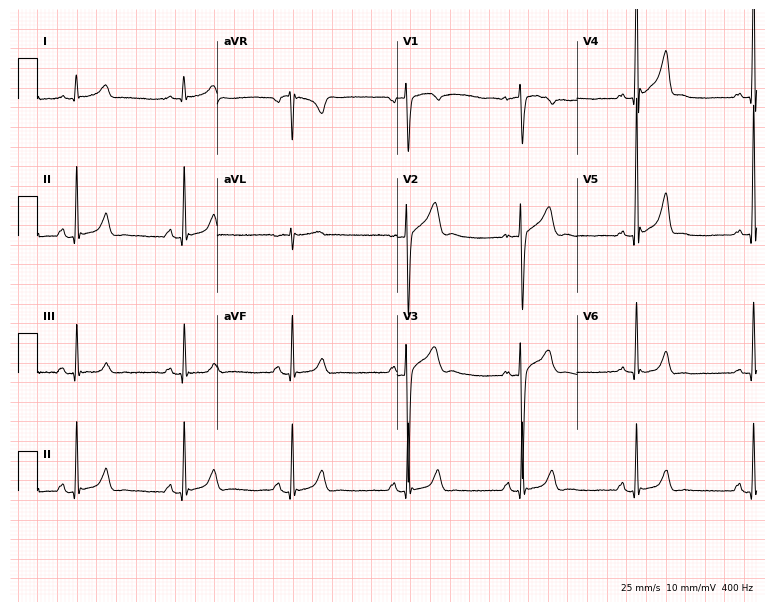
12-lead ECG from a male patient, 39 years old. Labelled as a normal ECG.